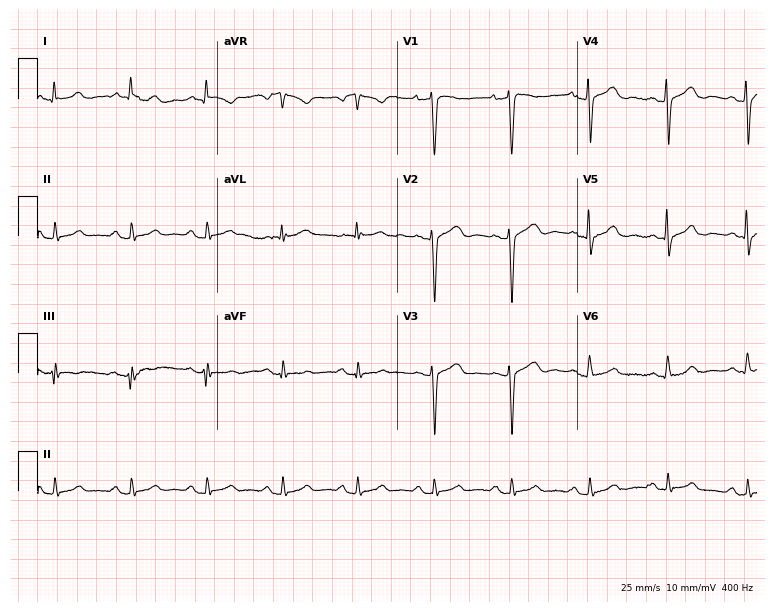
12-lead ECG from a male patient, 62 years old. Screened for six findings — first-degree AV block, right bundle branch block, left bundle branch block, sinus bradycardia, atrial fibrillation, sinus tachycardia — none is recorded.